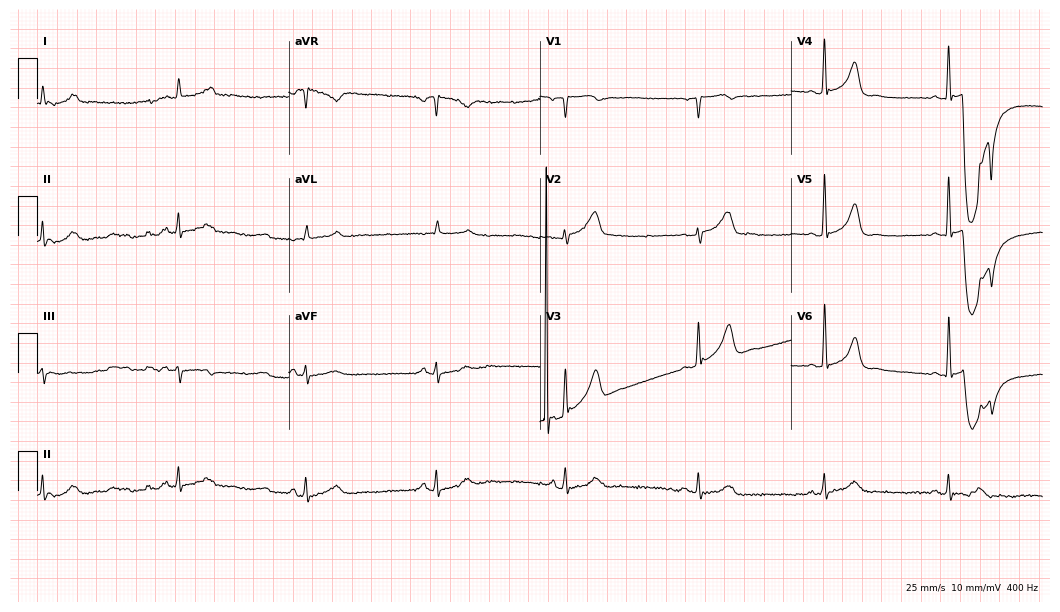
Electrocardiogram, a man, 76 years old. Interpretation includes sinus bradycardia (a sinus rate of 50 beats per minute or less), atrial fibrillation (AF).